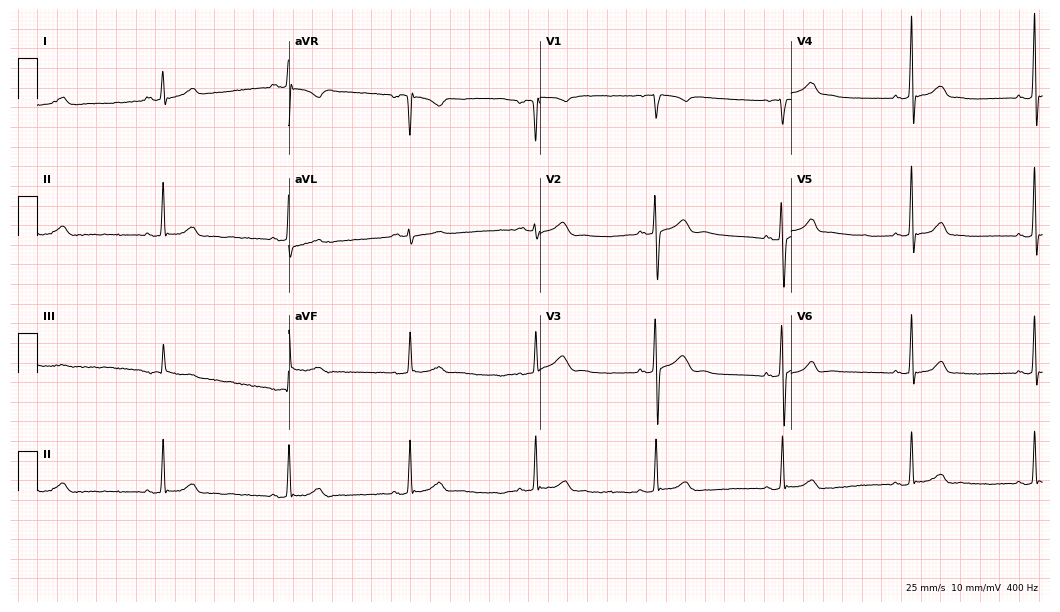
12-lead ECG from a female patient, 18 years old. Findings include sinus bradycardia (a sinus rate of 50 beats per minute or less).